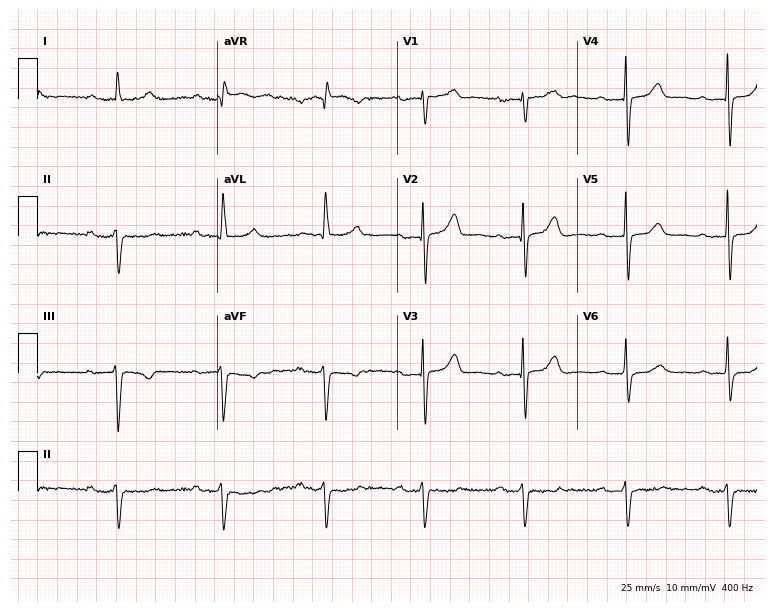
Standard 12-lead ECG recorded from an 85-year-old male. The tracing shows first-degree AV block.